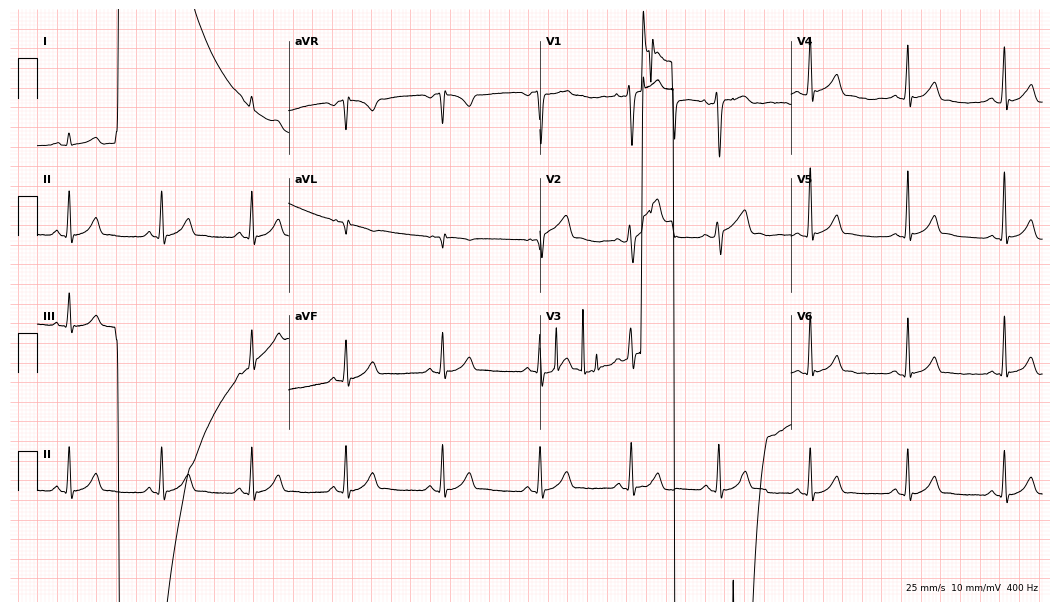
ECG — a female, 19 years old. Screened for six findings — first-degree AV block, right bundle branch block, left bundle branch block, sinus bradycardia, atrial fibrillation, sinus tachycardia — none is recorded.